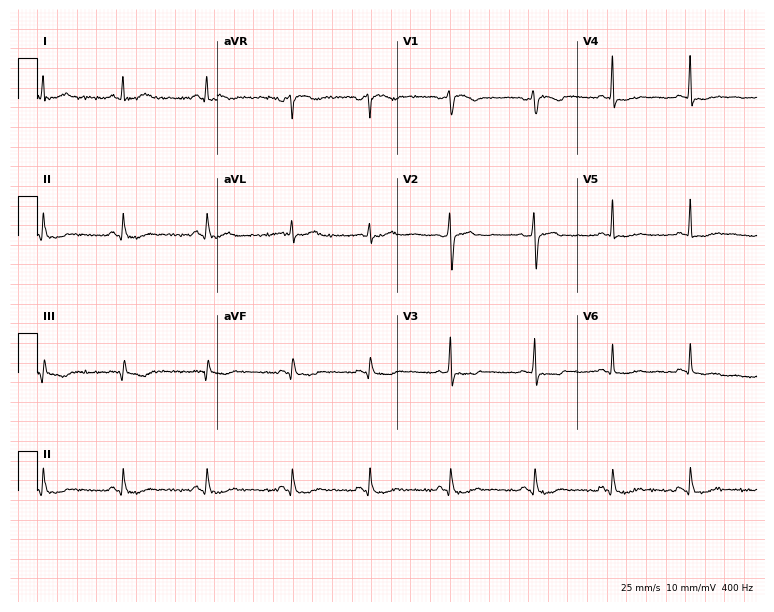
12-lead ECG from a female, 42 years old. No first-degree AV block, right bundle branch block (RBBB), left bundle branch block (LBBB), sinus bradycardia, atrial fibrillation (AF) or sinus tachycardia recorded for this tracing.